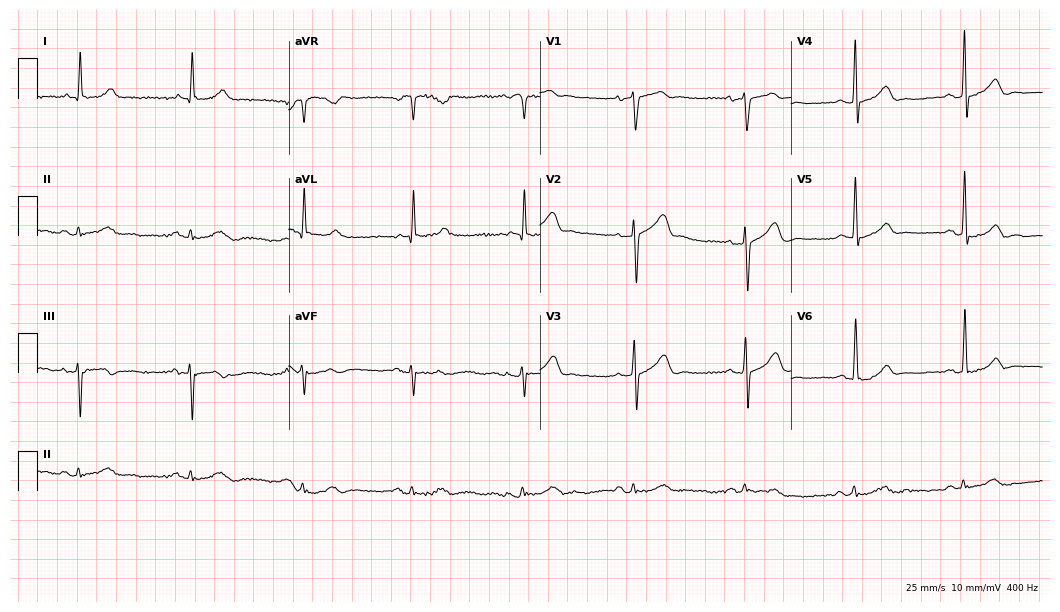
ECG — a male, 68 years old. Labelled as a normal ECG.